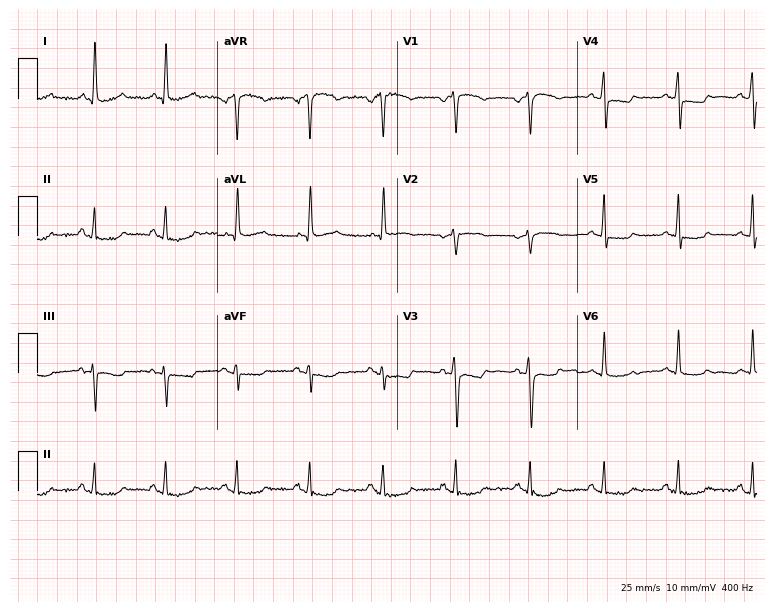
12-lead ECG from a 49-year-old woman (7.3-second recording at 400 Hz). No first-degree AV block, right bundle branch block (RBBB), left bundle branch block (LBBB), sinus bradycardia, atrial fibrillation (AF) or sinus tachycardia recorded for this tracing.